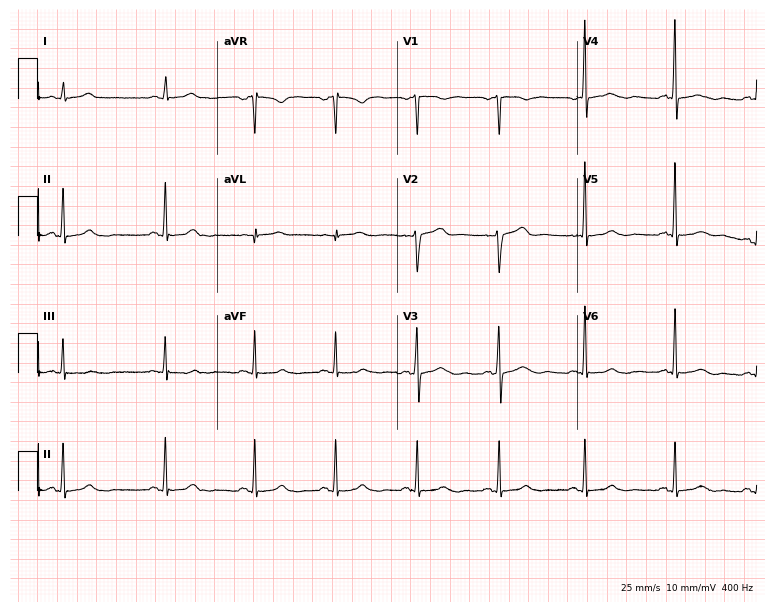
Resting 12-lead electrocardiogram (7.3-second recording at 400 Hz). Patient: a 51-year-old woman. Read as a normal ECG.